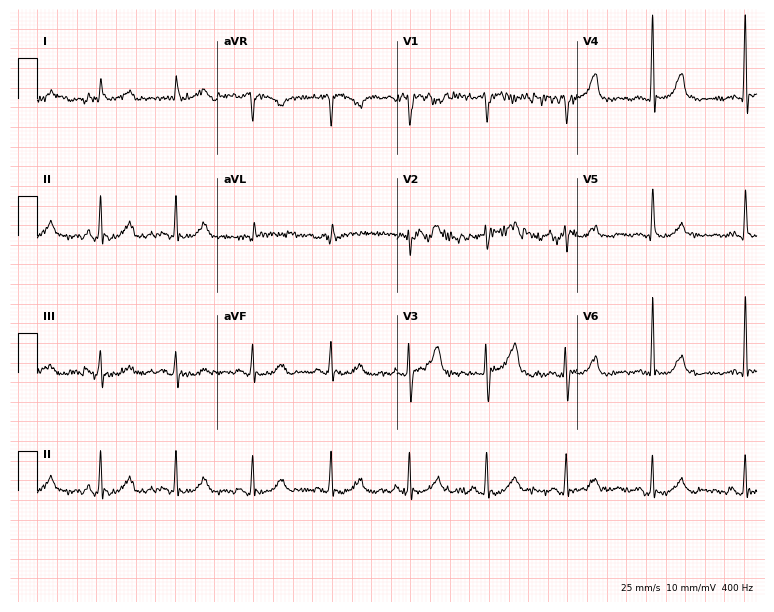
ECG — a male patient, 82 years old. Screened for six findings — first-degree AV block, right bundle branch block, left bundle branch block, sinus bradycardia, atrial fibrillation, sinus tachycardia — none is recorded.